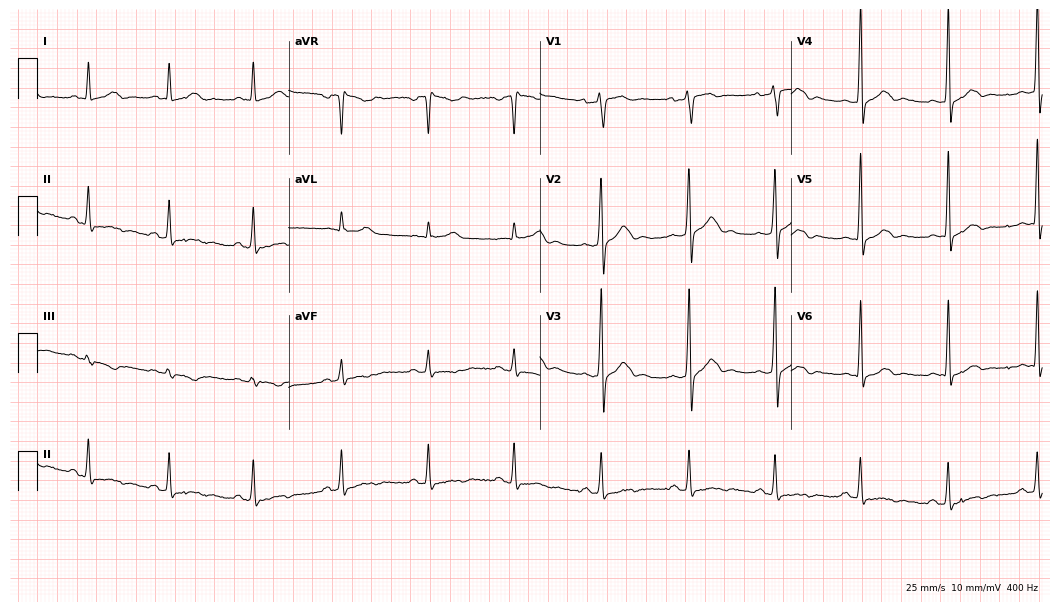
ECG — a 30-year-old male. Labelled as a normal ECG.